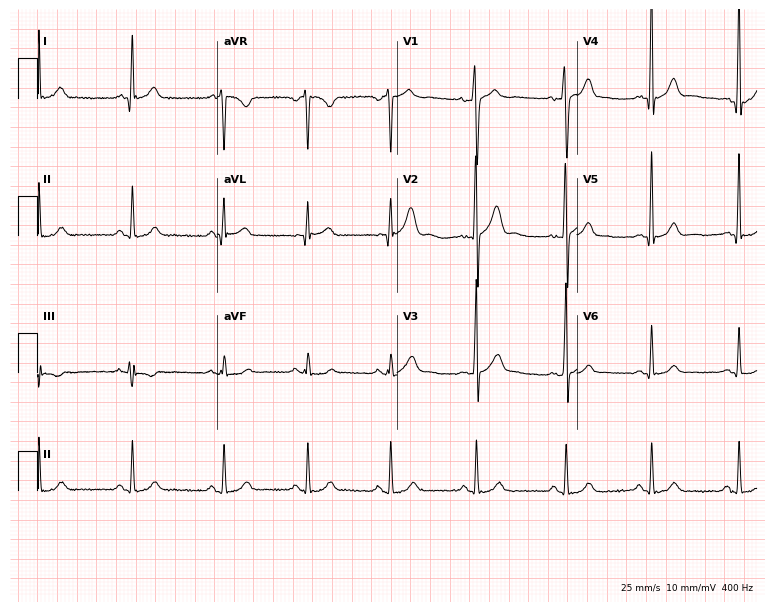
12-lead ECG from a man, 20 years old. Labelled as a normal ECG.